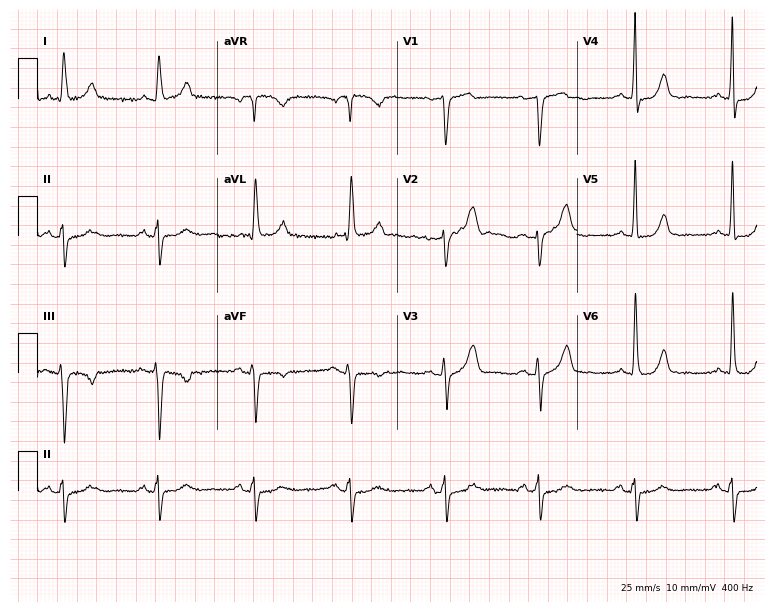
Resting 12-lead electrocardiogram (7.3-second recording at 400 Hz). Patient: a female, 76 years old. None of these six findings is recorded: first-degree AV block, right bundle branch block (RBBB), left bundle branch block (LBBB), sinus bradycardia, atrial fibrillation (AF), sinus tachycardia.